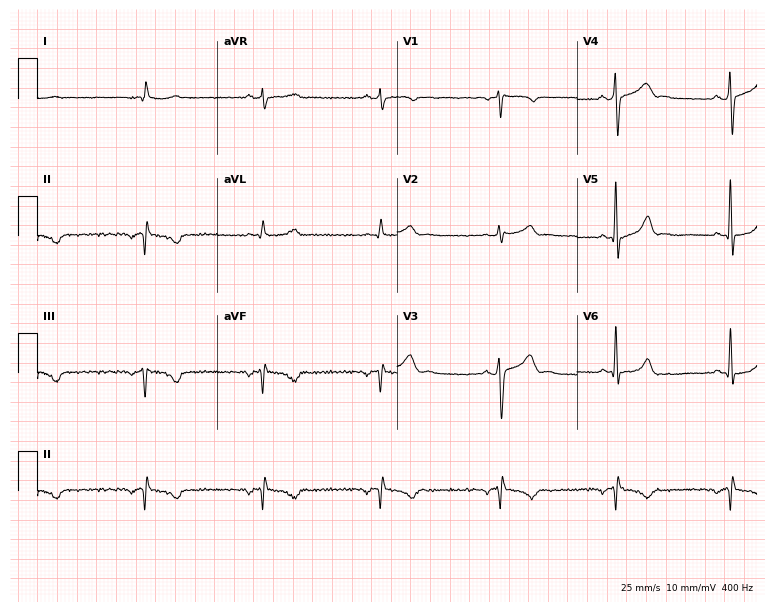
Standard 12-lead ECG recorded from a 55-year-old male patient. None of these six findings is recorded: first-degree AV block, right bundle branch block (RBBB), left bundle branch block (LBBB), sinus bradycardia, atrial fibrillation (AF), sinus tachycardia. Findings outside these six are not listed.